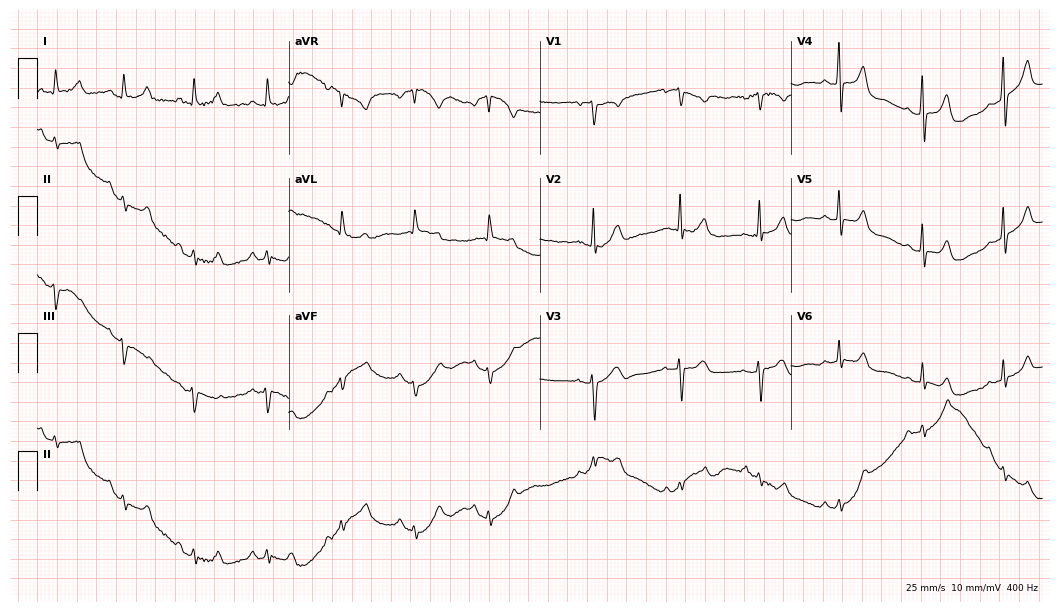
Resting 12-lead electrocardiogram. Patient: a female, 53 years old. Read as a normal ECG.